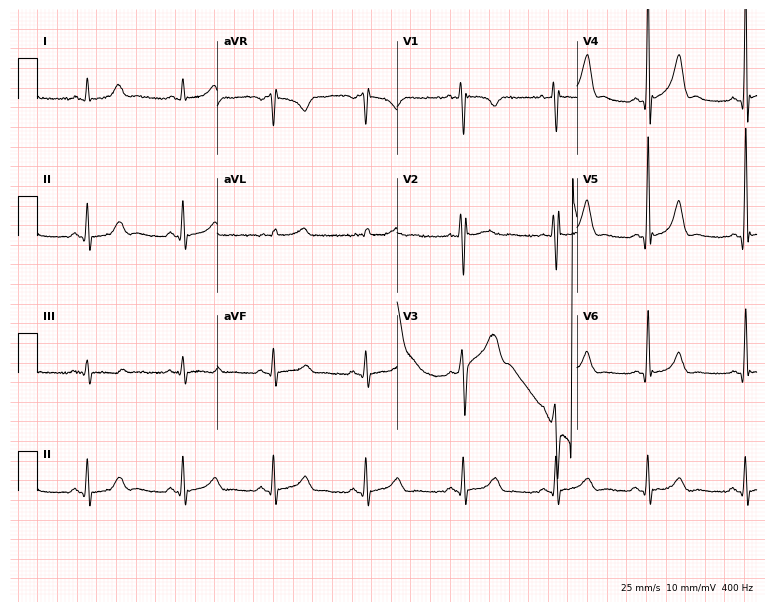
Resting 12-lead electrocardiogram. Patient: a man, 36 years old. Read as a normal ECG.